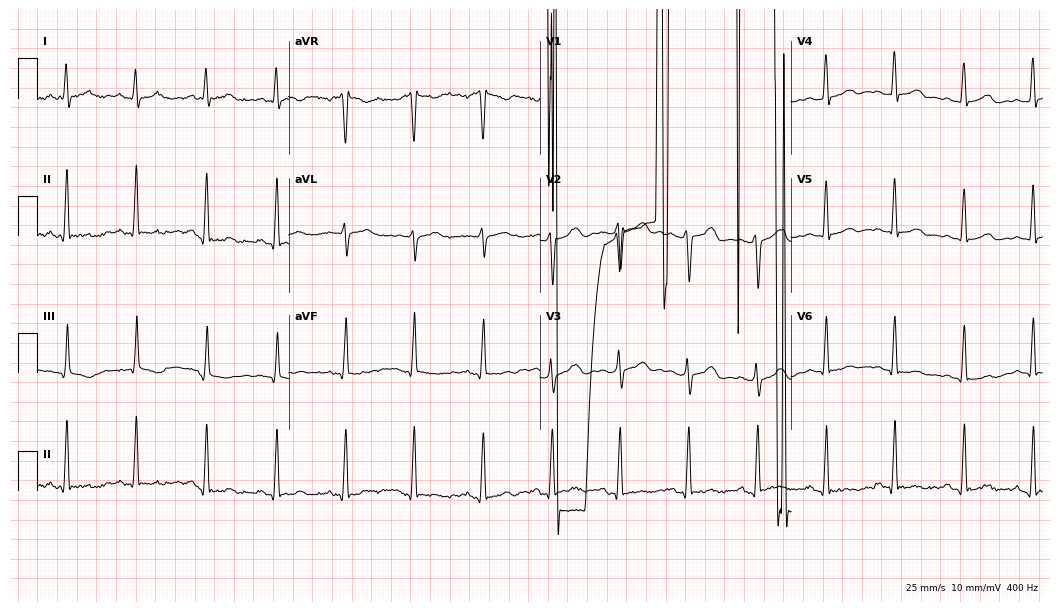
Resting 12-lead electrocardiogram (10.2-second recording at 400 Hz). Patient: a woman, 34 years old. None of these six findings is recorded: first-degree AV block, right bundle branch block, left bundle branch block, sinus bradycardia, atrial fibrillation, sinus tachycardia. Findings outside these six are not listed.